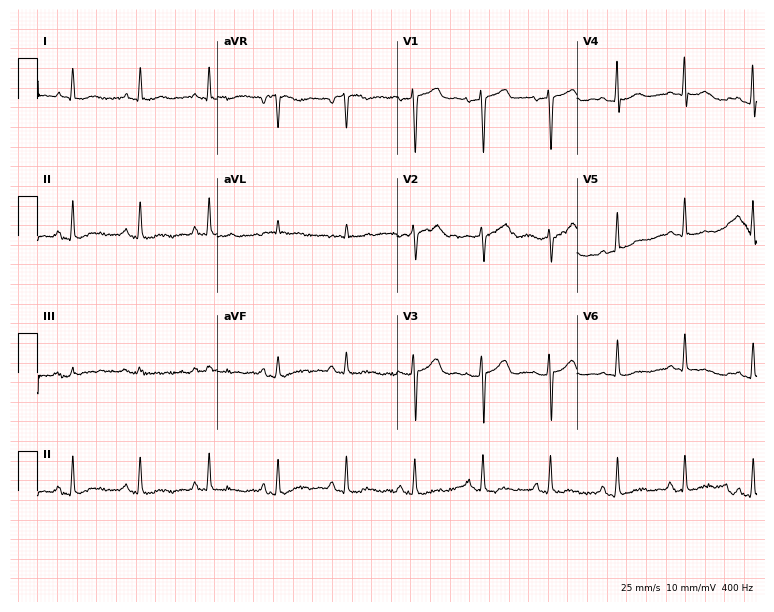
ECG — a 56-year-old woman. Screened for six findings — first-degree AV block, right bundle branch block (RBBB), left bundle branch block (LBBB), sinus bradycardia, atrial fibrillation (AF), sinus tachycardia — none is recorded. Only these six findings were labelled.